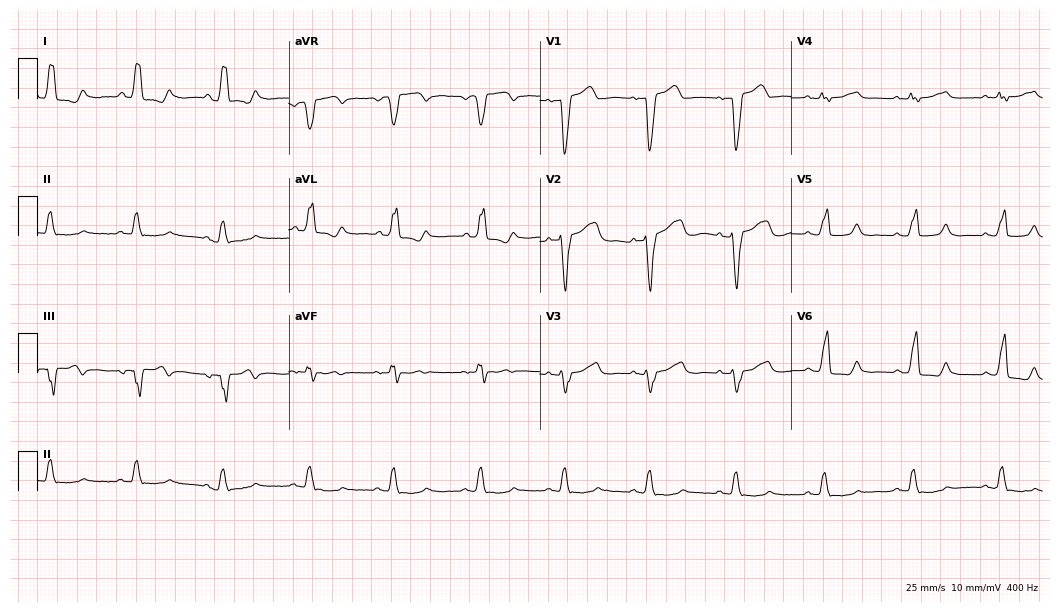
Electrocardiogram, a 71-year-old female patient. Interpretation includes left bundle branch block.